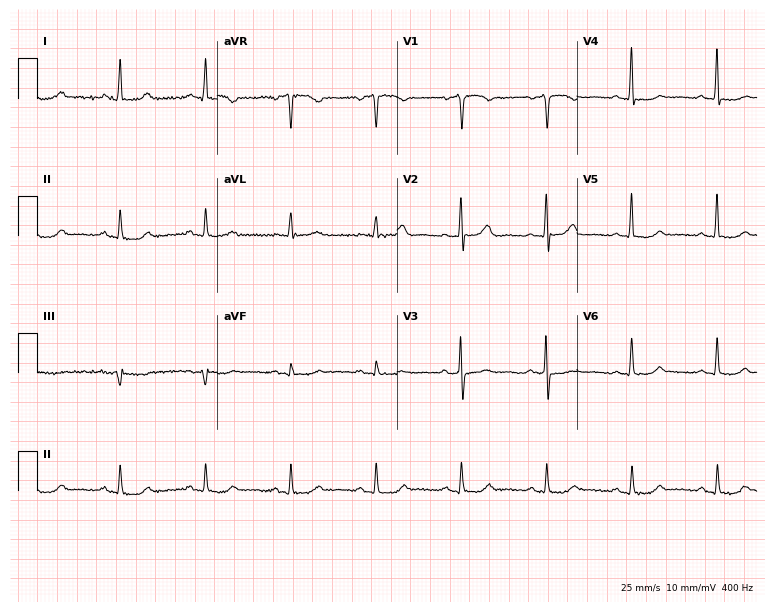
12-lead ECG from an 81-year-old female. Screened for six findings — first-degree AV block, right bundle branch block, left bundle branch block, sinus bradycardia, atrial fibrillation, sinus tachycardia — none is recorded. Only these six findings were labelled.